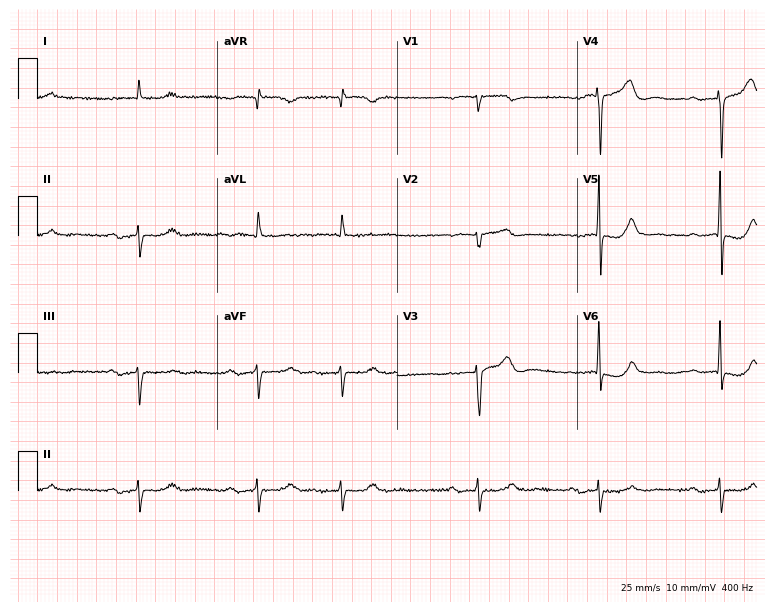
12-lead ECG from a 77-year-old man. Shows first-degree AV block, atrial fibrillation (AF).